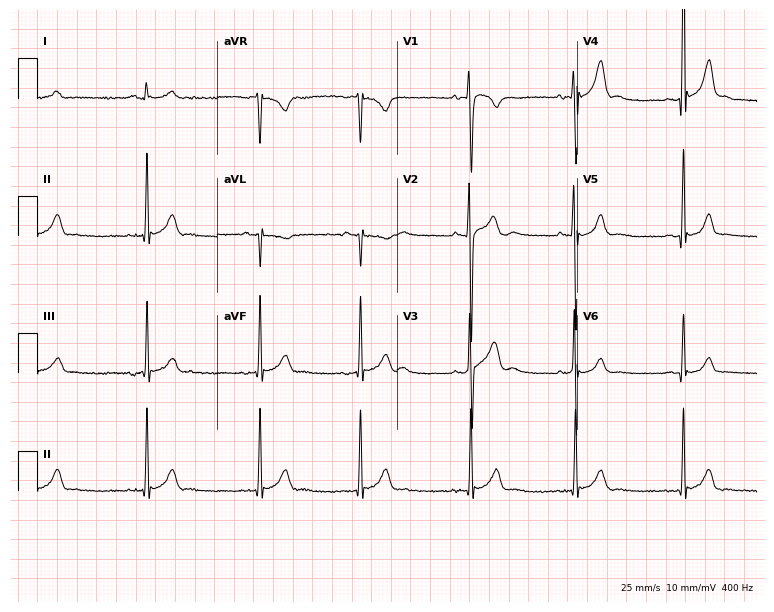
12-lead ECG (7.3-second recording at 400 Hz) from a 20-year-old man. Screened for six findings — first-degree AV block, right bundle branch block, left bundle branch block, sinus bradycardia, atrial fibrillation, sinus tachycardia — none is recorded.